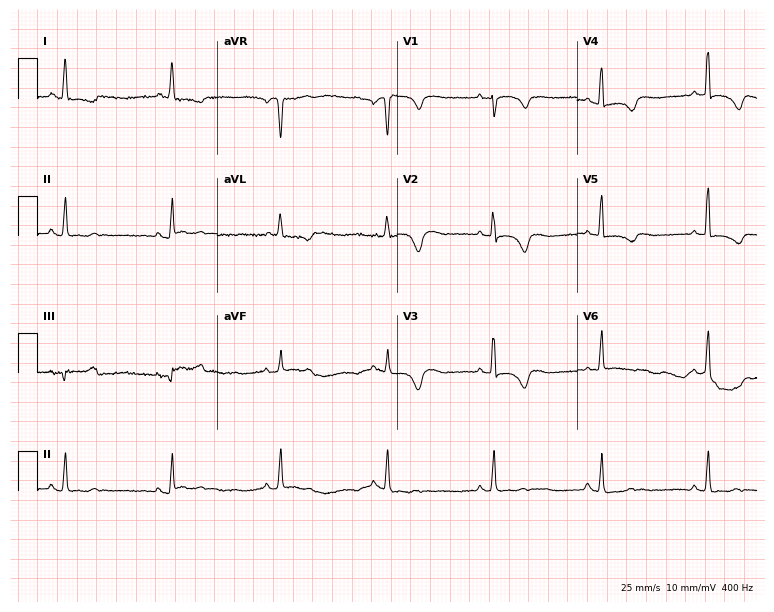
Resting 12-lead electrocardiogram. Patient: a 76-year-old female. None of these six findings is recorded: first-degree AV block, right bundle branch block, left bundle branch block, sinus bradycardia, atrial fibrillation, sinus tachycardia.